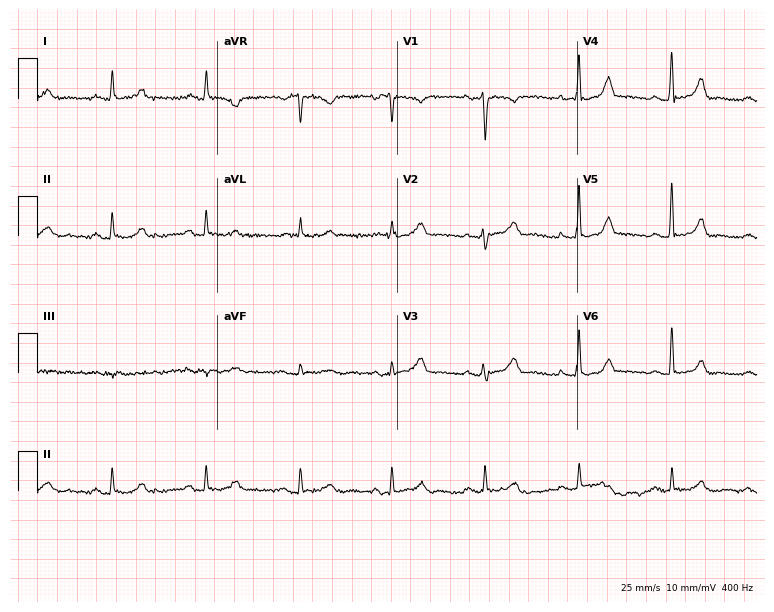
Electrocardiogram (7.3-second recording at 400 Hz), a female, 55 years old. Overall reading on record: normal ECG.